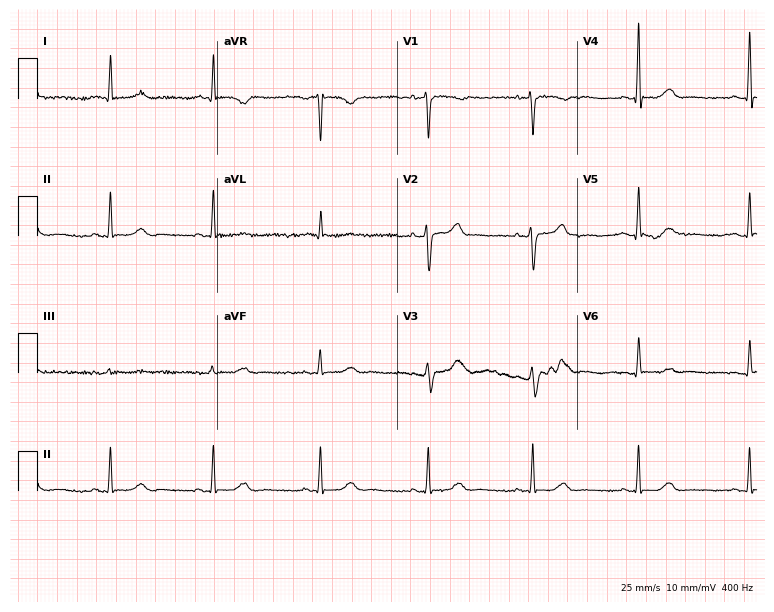
ECG — a 59-year-old female patient. Labelled as a normal ECG.